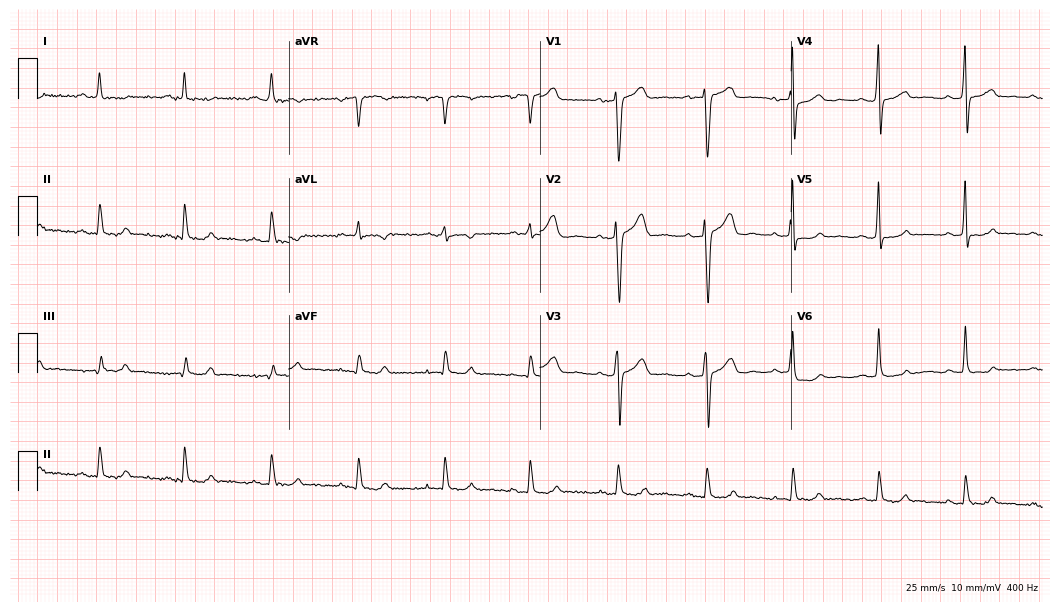
ECG — a 58-year-old female patient. Labelled as a normal ECG.